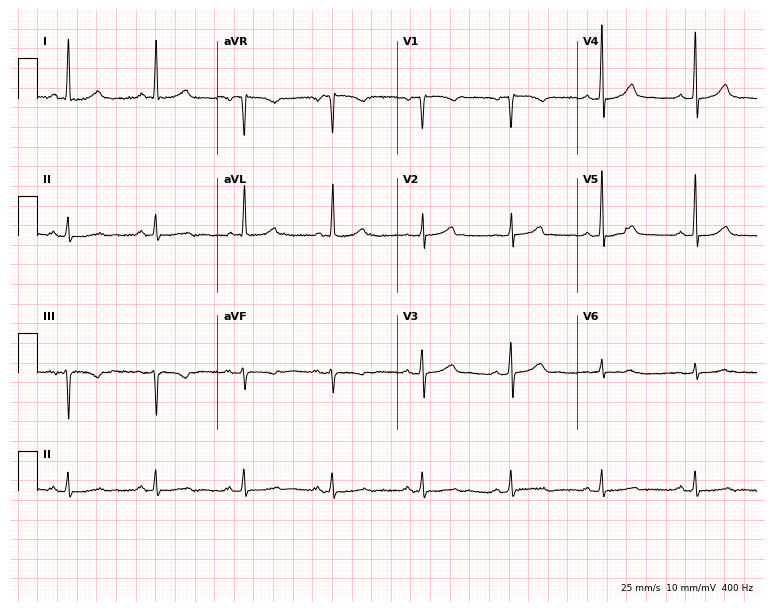
Standard 12-lead ECG recorded from a woman, 70 years old. Read as a normal ECG.